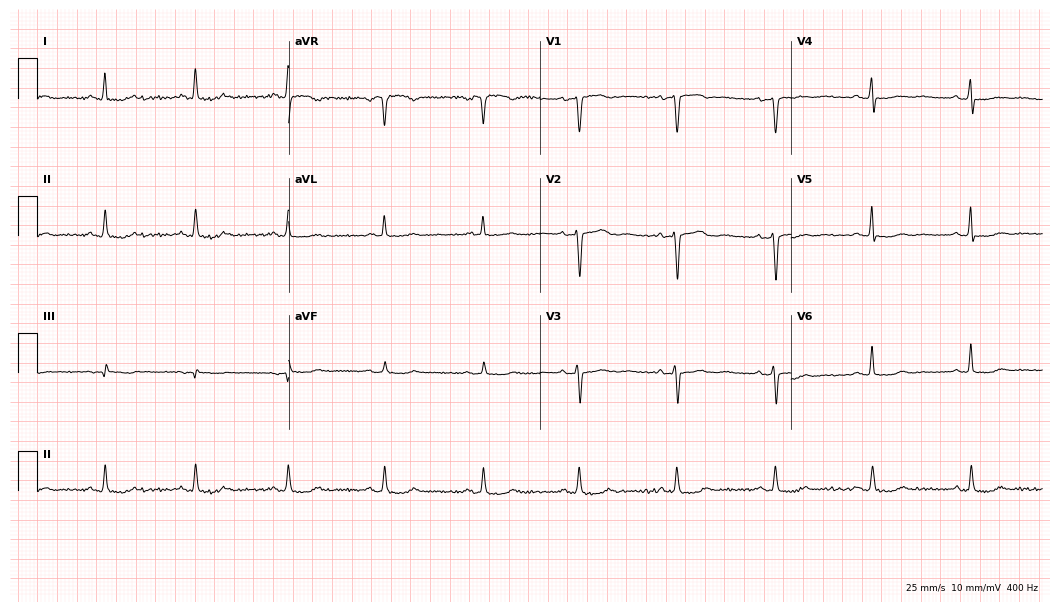
Standard 12-lead ECG recorded from a 49-year-old woman. Read as a normal ECG.